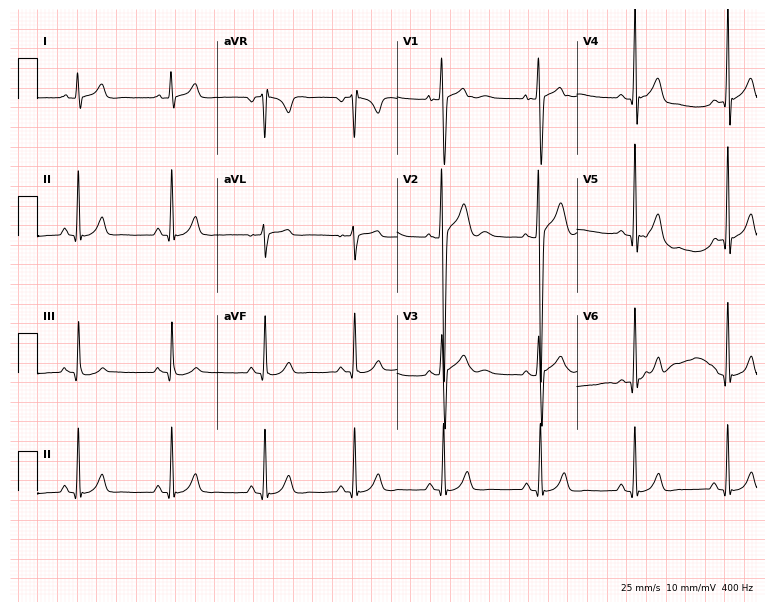
Resting 12-lead electrocardiogram (7.3-second recording at 400 Hz). Patient: a male, 17 years old. None of these six findings is recorded: first-degree AV block, right bundle branch block, left bundle branch block, sinus bradycardia, atrial fibrillation, sinus tachycardia.